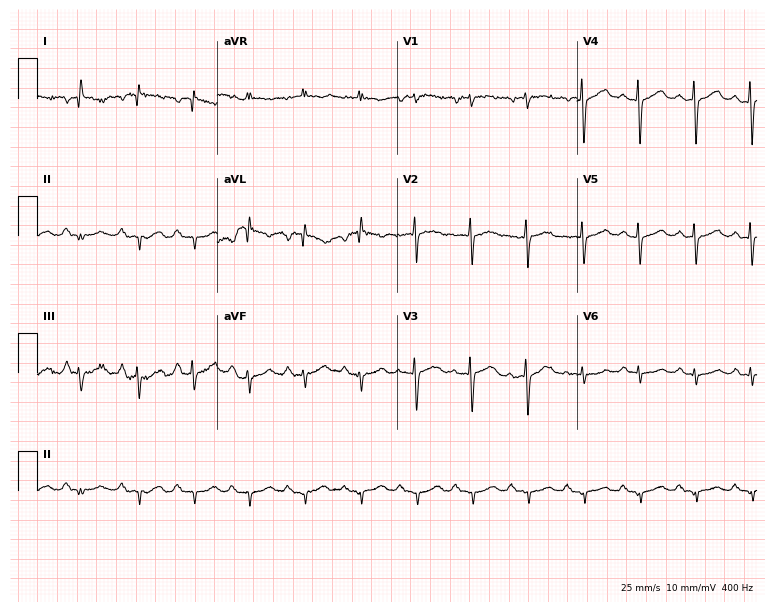
Standard 12-lead ECG recorded from a woman, 70 years old (7.3-second recording at 400 Hz). None of these six findings is recorded: first-degree AV block, right bundle branch block, left bundle branch block, sinus bradycardia, atrial fibrillation, sinus tachycardia. Only these six findings were labelled.